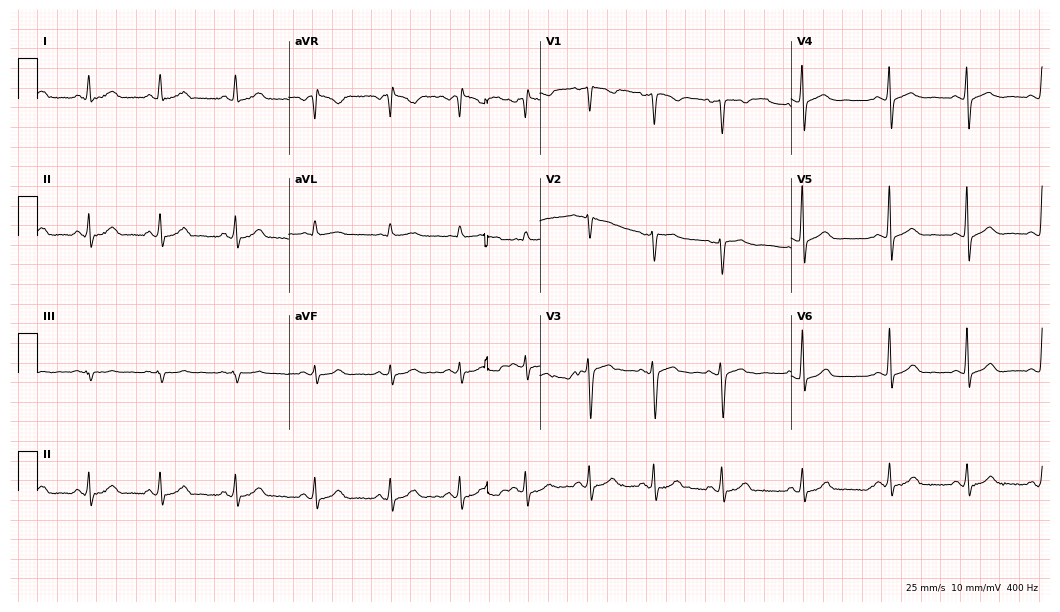
Standard 12-lead ECG recorded from a female patient, 39 years old. Read as a normal ECG.